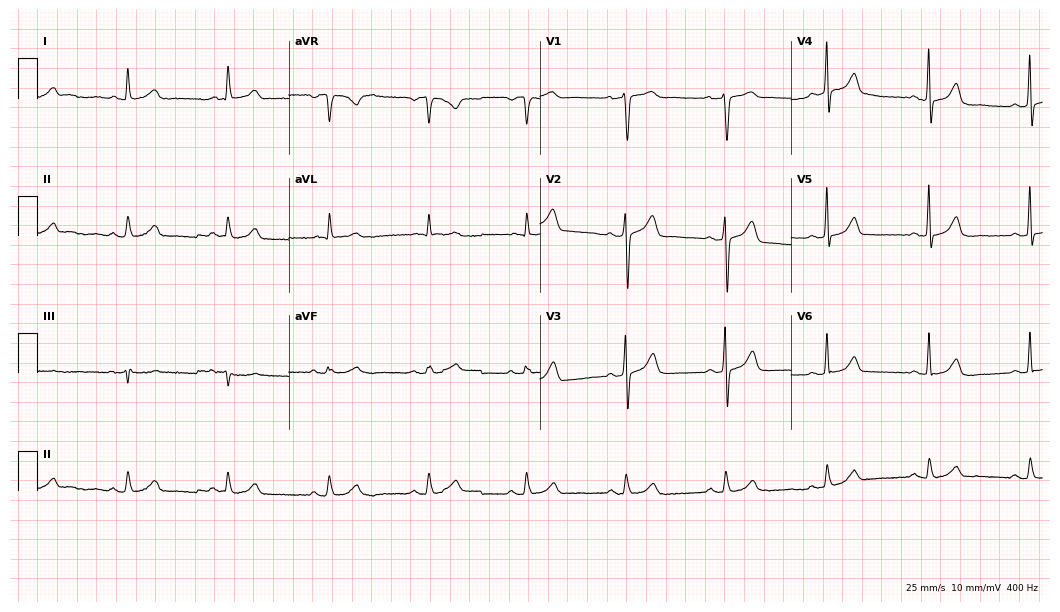
Electrocardiogram (10.2-second recording at 400 Hz), a 68-year-old female. Overall reading on record: normal ECG.